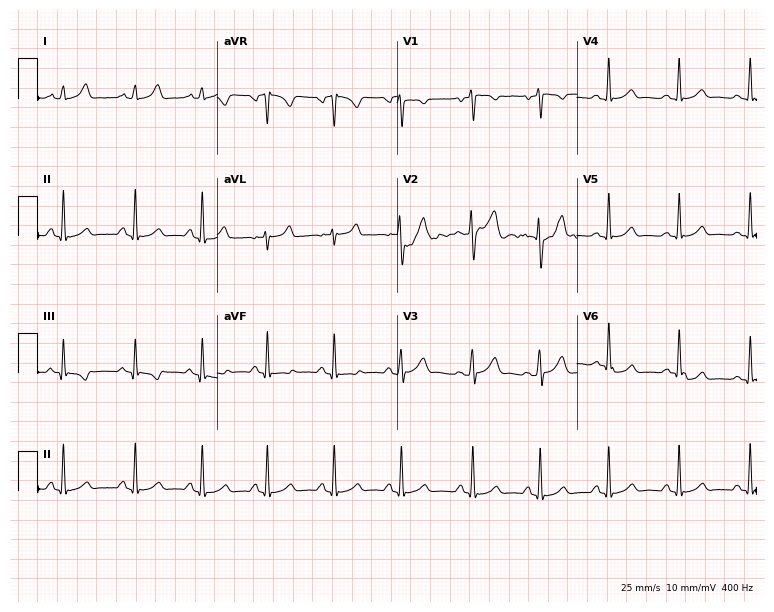
12-lead ECG from a female, 27 years old (7.3-second recording at 400 Hz). No first-degree AV block, right bundle branch block (RBBB), left bundle branch block (LBBB), sinus bradycardia, atrial fibrillation (AF) or sinus tachycardia recorded for this tracing.